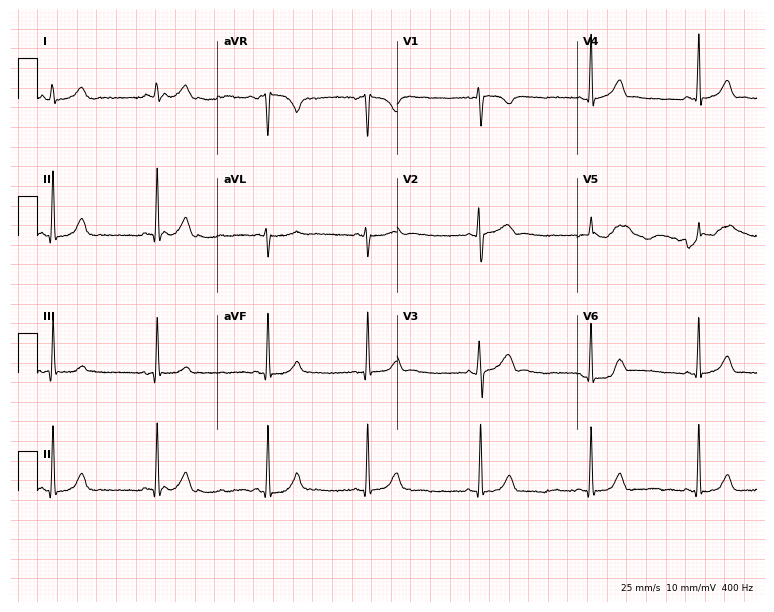
Resting 12-lead electrocardiogram (7.3-second recording at 400 Hz). Patient: a female, 67 years old. Read as a normal ECG.